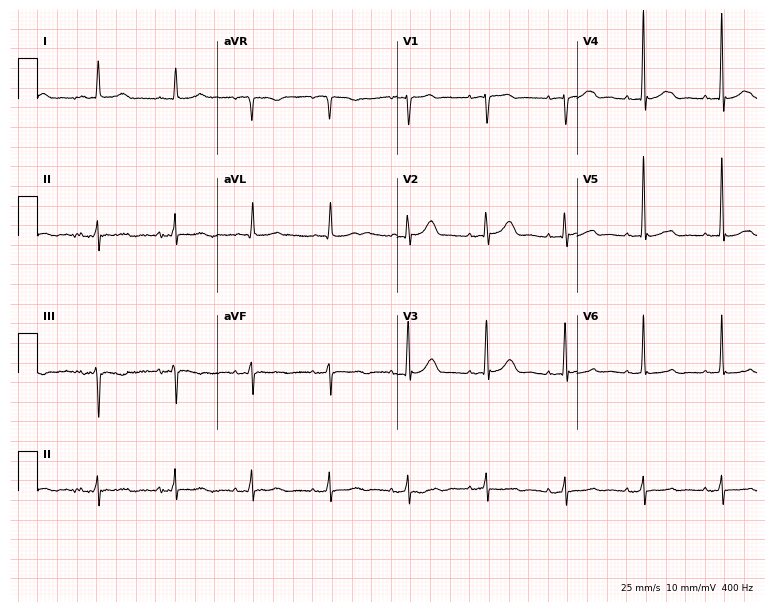
Standard 12-lead ECG recorded from a female, 81 years old. None of these six findings is recorded: first-degree AV block, right bundle branch block, left bundle branch block, sinus bradycardia, atrial fibrillation, sinus tachycardia. Only these six findings were labelled.